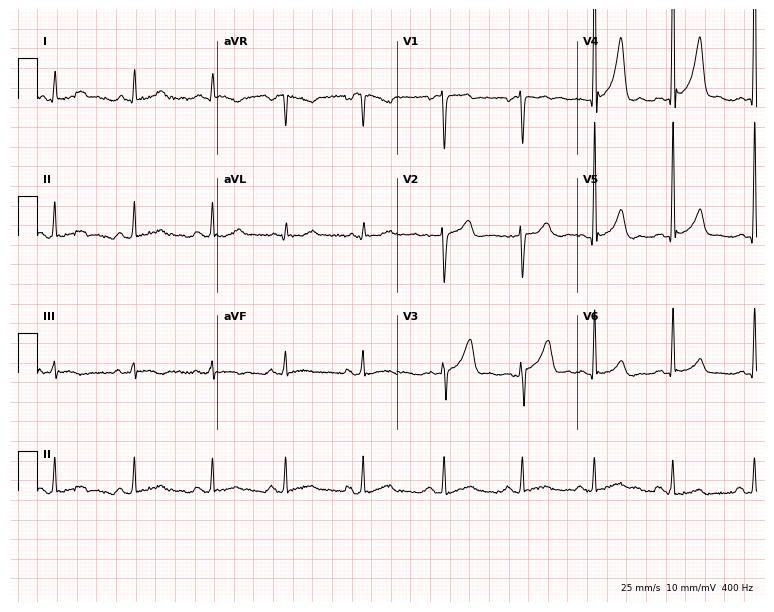
ECG (7.3-second recording at 400 Hz) — a 38-year-old woman. Screened for six findings — first-degree AV block, right bundle branch block (RBBB), left bundle branch block (LBBB), sinus bradycardia, atrial fibrillation (AF), sinus tachycardia — none is recorded.